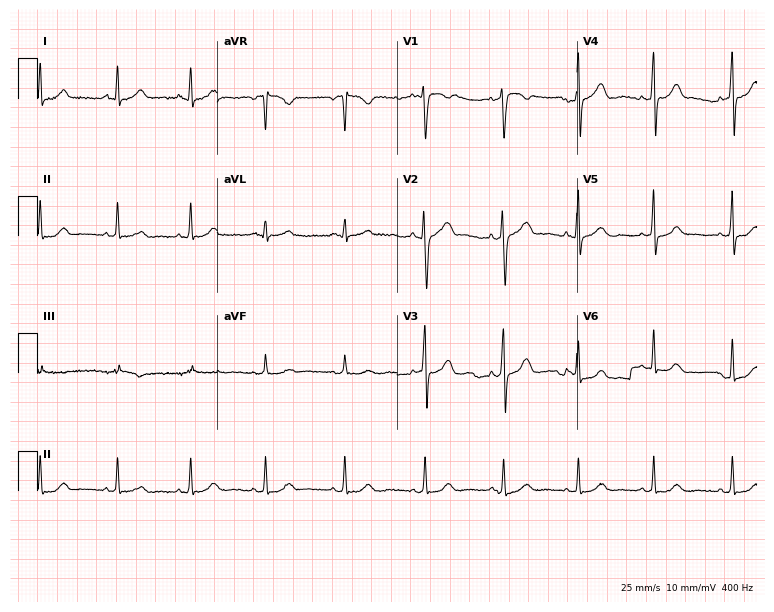
Resting 12-lead electrocardiogram. Patient: a female, 29 years old. None of these six findings is recorded: first-degree AV block, right bundle branch block (RBBB), left bundle branch block (LBBB), sinus bradycardia, atrial fibrillation (AF), sinus tachycardia. Findings outside these six are not listed.